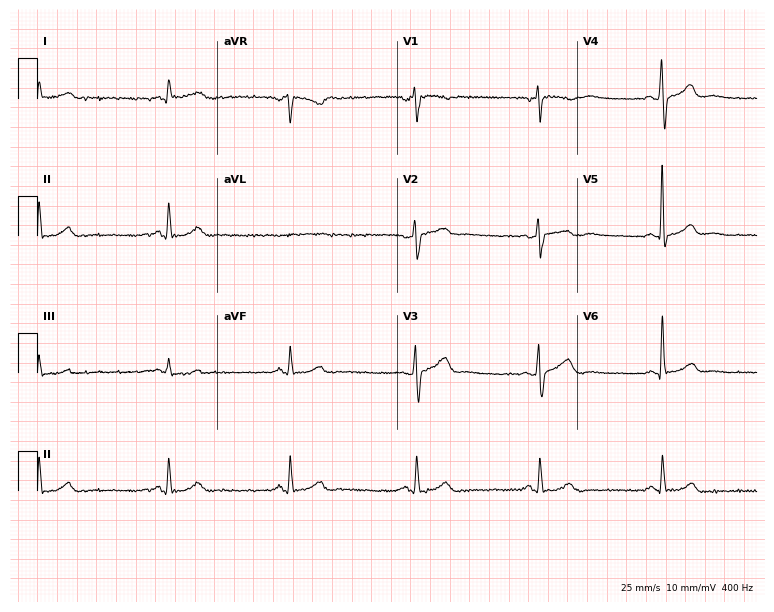
Standard 12-lead ECG recorded from a 62-year-old man. The tracing shows sinus bradycardia (a sinus rate of 50 beats per minute or less).